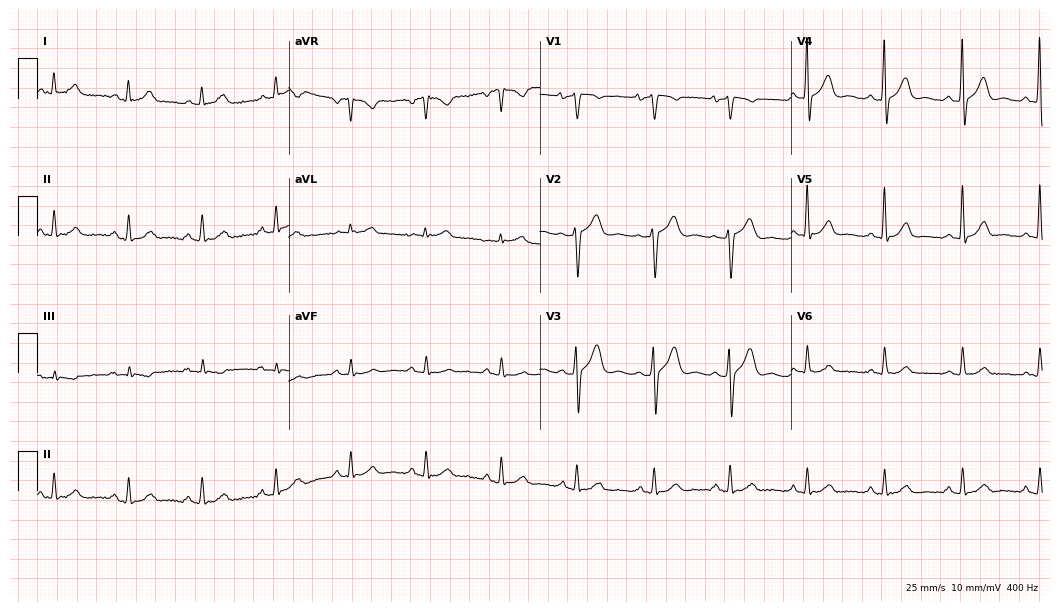
Standard 12-lead ECG recorded from a 65-year-old man. None of these six findings is recorded: first-degree AV block, right bundle branch block, left bundle branch block, sinus bradycardia, atrial fibrillation, sinus tachycardia. Other findings, if any, are not listed.